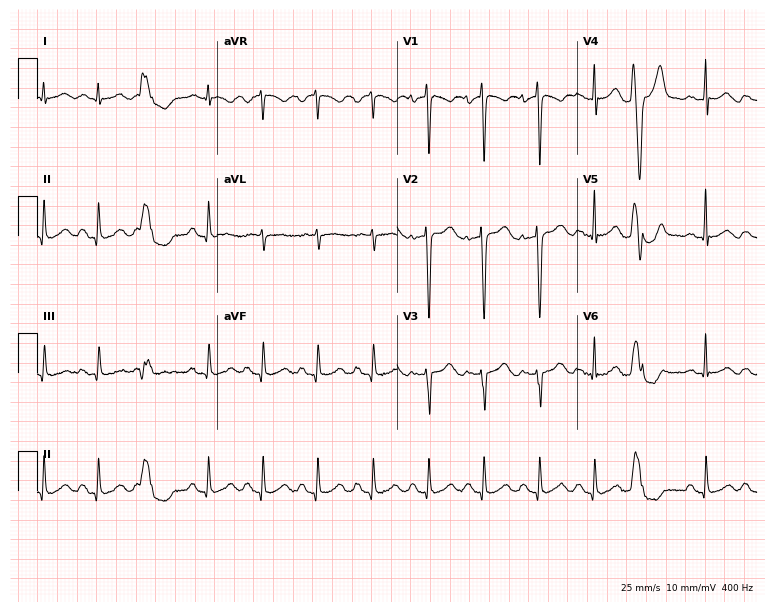
Standard 12-lead ECG recorded from a male, 58 years old. The tracing shows sinus tachycardia (a sinus rate of 100 beats per minute or more).